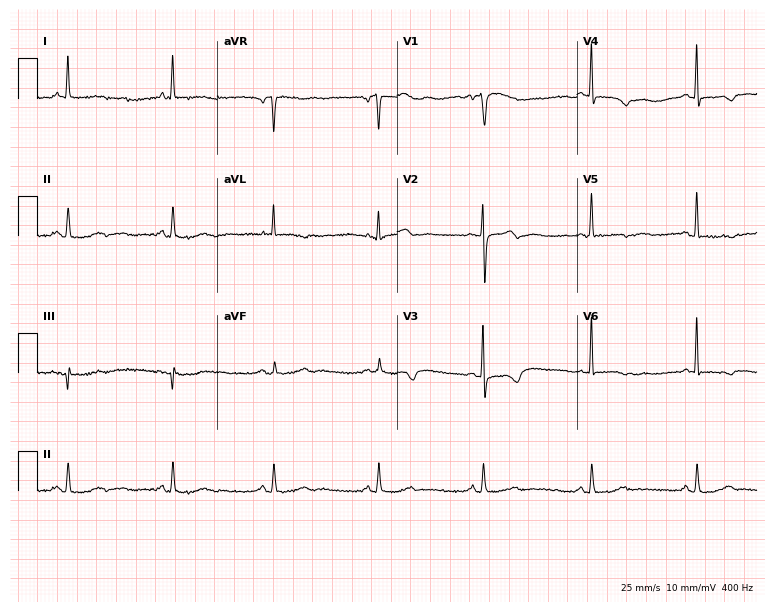
12-lead ECG (7.3-second recording at 400 Hz) from a 73-year-old female patient. Screened for six findings — first-degree AV block, right bundle branch block, left bundle branch block, sinus bradycardia, atrial fibrillation, sinus tachycardia — none is recorded. Other findings, if any, are not listed.